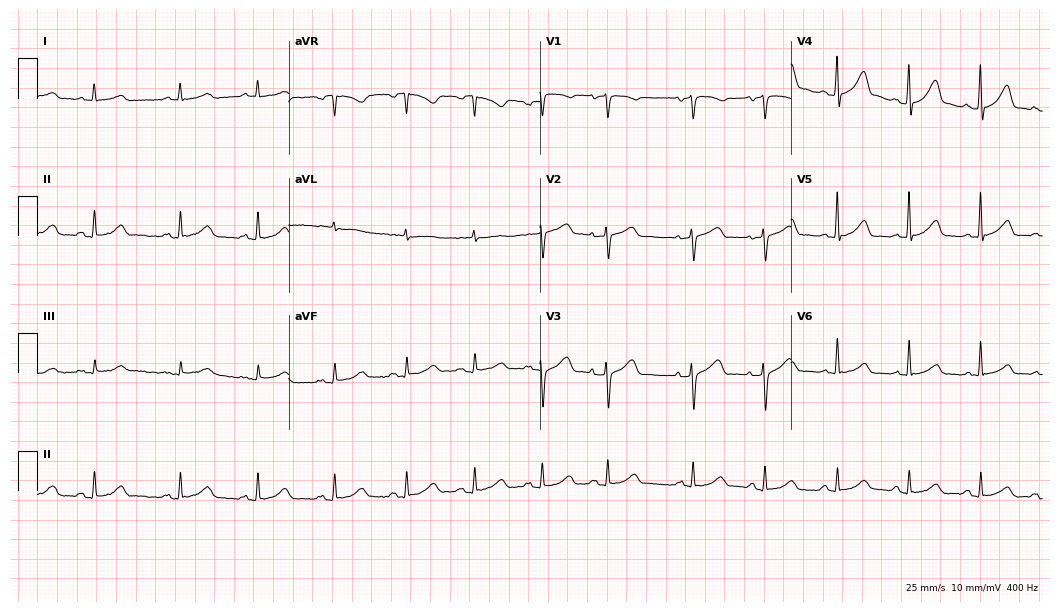
Standard 12-lead ECG recorded from an 80-year-old woman (10.2-second recording at 400 Hz). Read as a normal ECG.